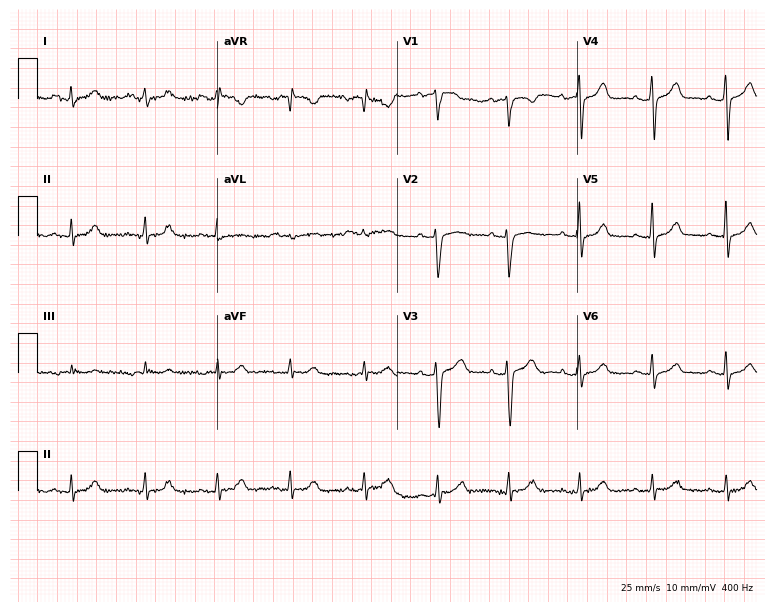
Resting 12-lead electrocardiogram. Patient: a 39-year-old female. Read as a normal ECG.